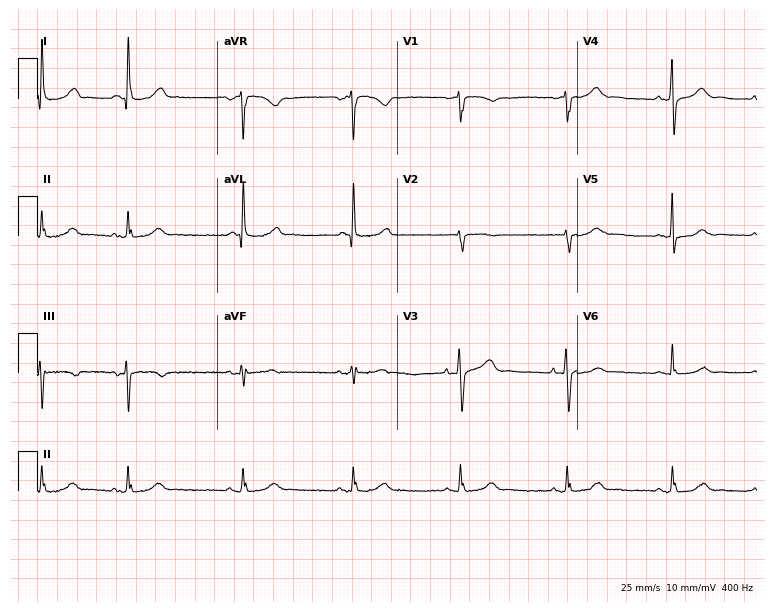
Electrocardiogram (7.3-second recording at 400 Hz), a 68-year-old woman. Overall reading on record: normal ECG.